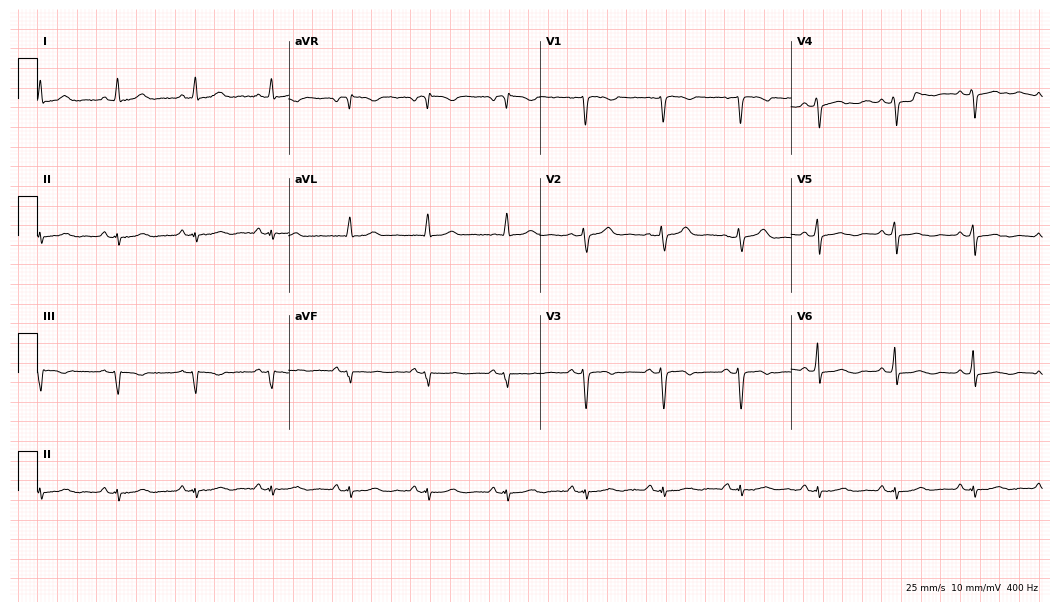
12-lead ECG from a woman, 64 years old (10.2-second recording at 400 Hz). No first-degree AV block, right bundle branch block, left bundle branch block, sinus bradycardia, atrial fibrillation or sinus tachycardia recorded for this tracing.